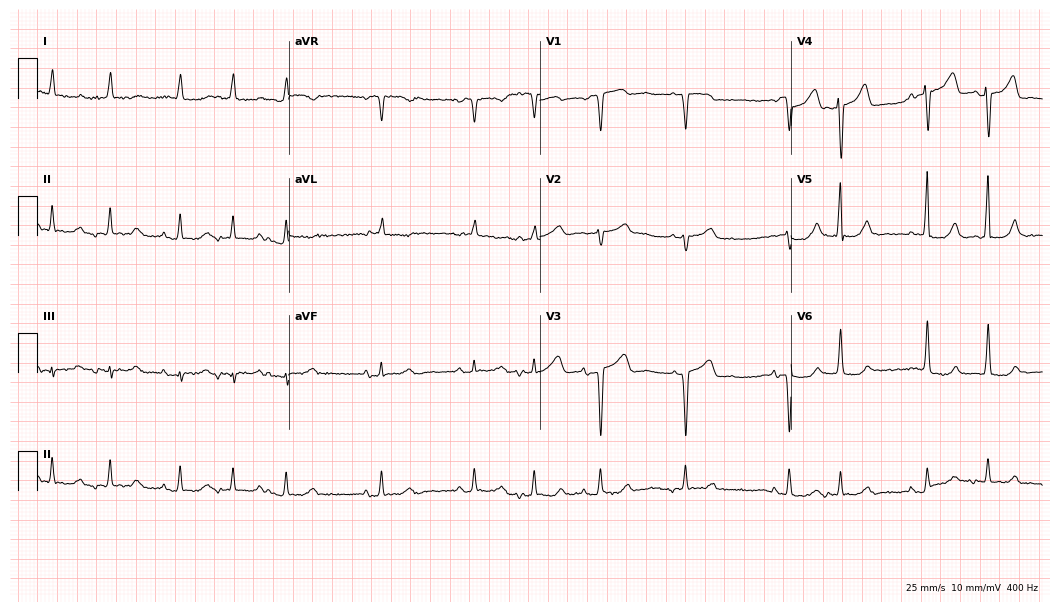
Standard 12-lead ECG recorded from a female, 85 years old. None of these six findings is recorded: first-degree AV block, right bundle branch block, left bundle branch block, sinus bradycardia, atrial fibrillation, sinus tachycardia. Only these six findings were labelled.